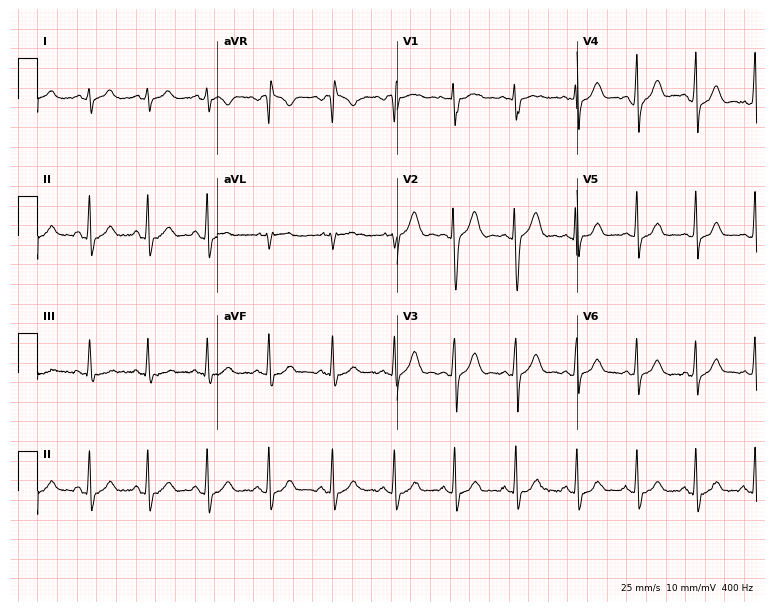
Resting 12-lead electrocardiogram (7.3-second recording at 400 Hz). Patient: a female, 19 years old. None of these six findings is recorded: first-degree AV block, right bundle branch block (RBBB), left bundle branch block (LBBB), sinus bradycardia, atrial fibrillation (AF), sinus tachycardia.